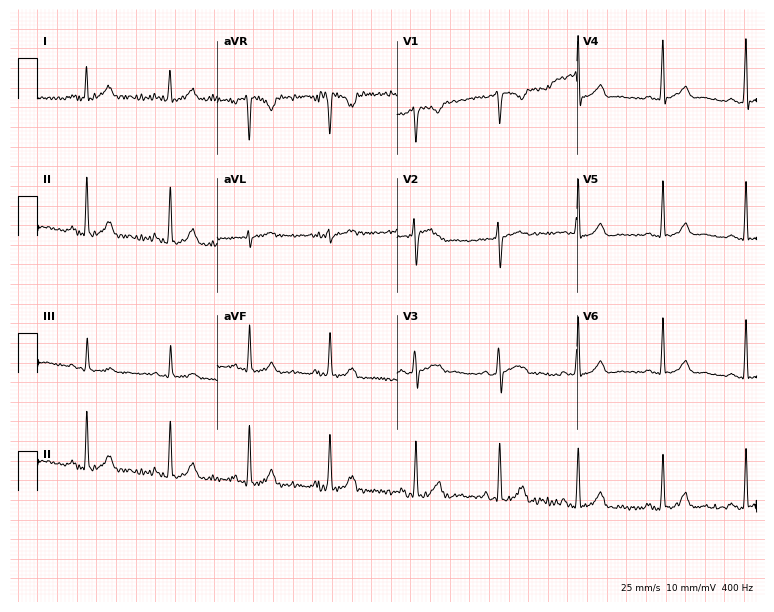
ECG (7.3-second recording at 400 Hz) — a 30-year-old female. Screened for six findings — first-degree AV block, right bundle branch block, left bundle branch block, sinus bradycardia, atrial fibrillation, sinus tachycardia — none is recorded. Only these six findings were labelled.